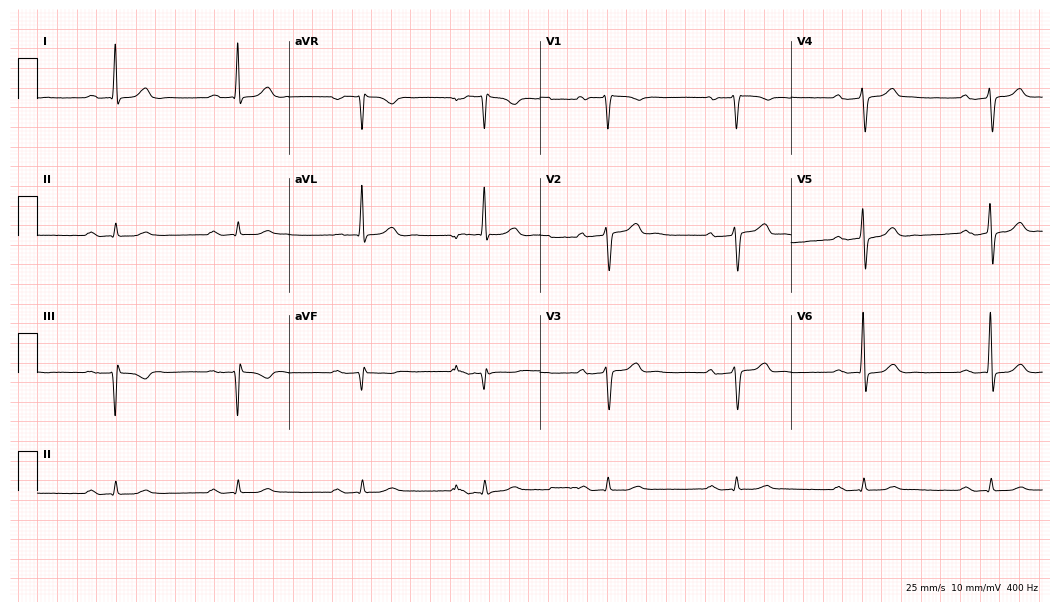
12-lead ECG (10.2-second recording at 400 Hz) from a male, 77 years old. Labelled as a normal ECG.